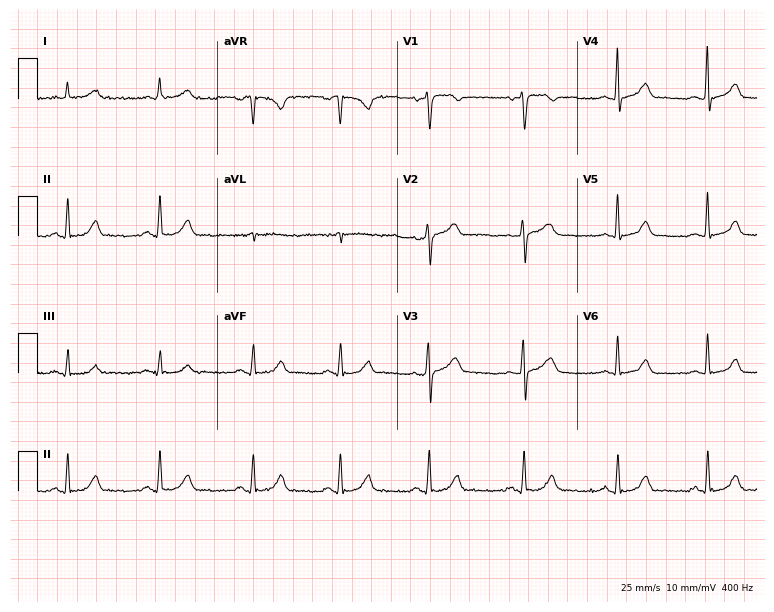
Electrocardiogram, a 35-year-old woman. Overall reading on record: normal ECG.